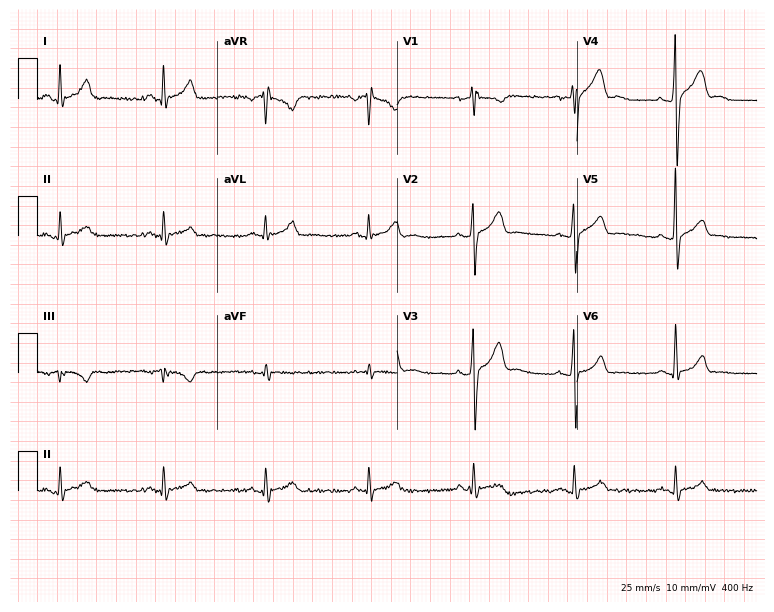
12-lead ECG from a 29-year-old man (7.3-second recording at 400 Hz). No first-degree AV block, right bundle branch block, left bundle branch block, sinus bradycardia, atrial fibrillation or sinus tachycardia recorded for this tracing. Only these six findings were labelled.